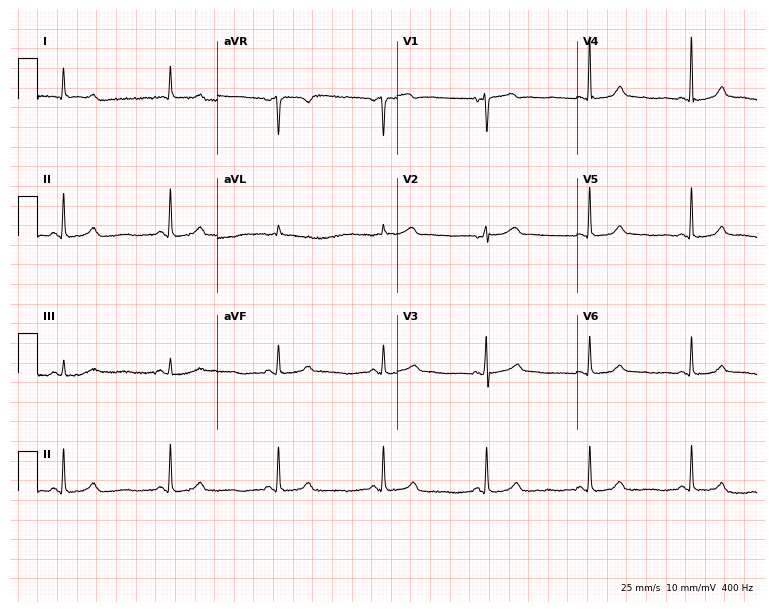
Resting 12-lead electrocardiogram. Patient: a 60-year-old female. Read as a normal ECG.